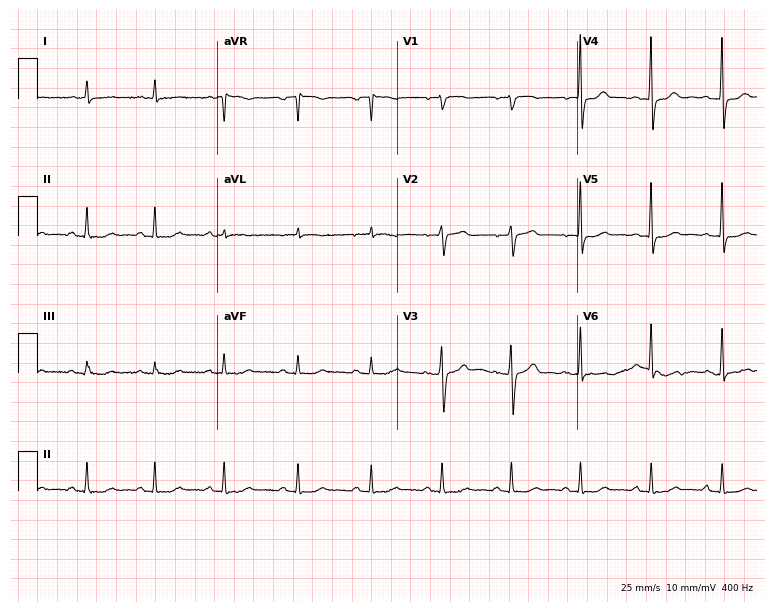
Standard 12-lead ECG recorded from a female, 71 years old (7.3-second recording at 400 Hz). None of these six findings is recorded: first-degree AV block, right bundle branch block, left bundle branch block, sinus bradycardia, atrial fibrillation, sinus tachycardia. Findings outside these six are not listed.